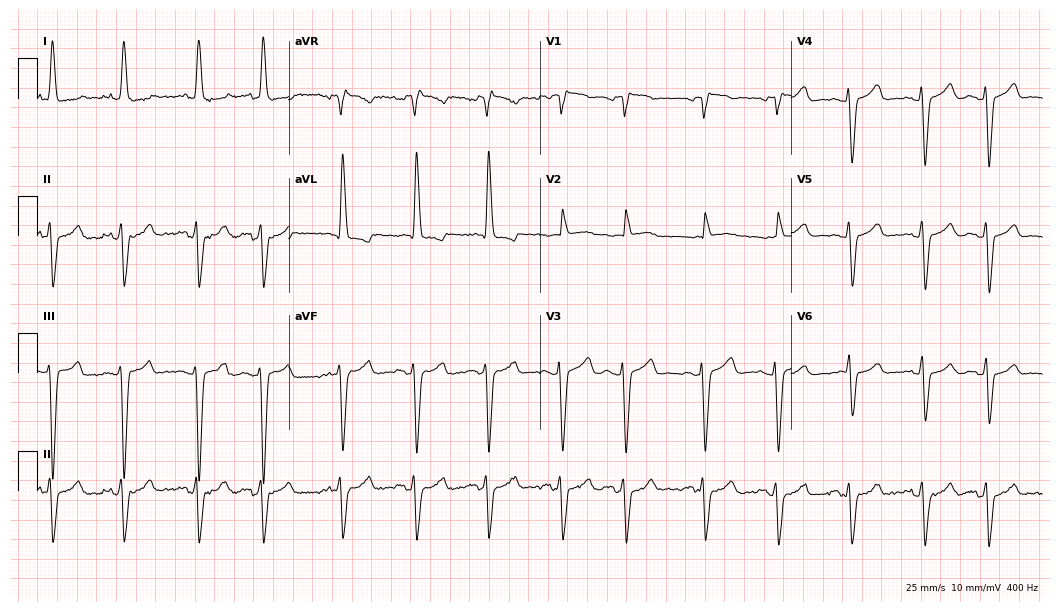
Standard 12-lead ECG recorded from a female, 80 years old (10.2-second recording at 400 Hz). None of these six findings is recorded: first-degree AV block, right bundle branch block, left bundle branch block, sinus bradycardia, atrial fibrillation, sinus tachycardia.